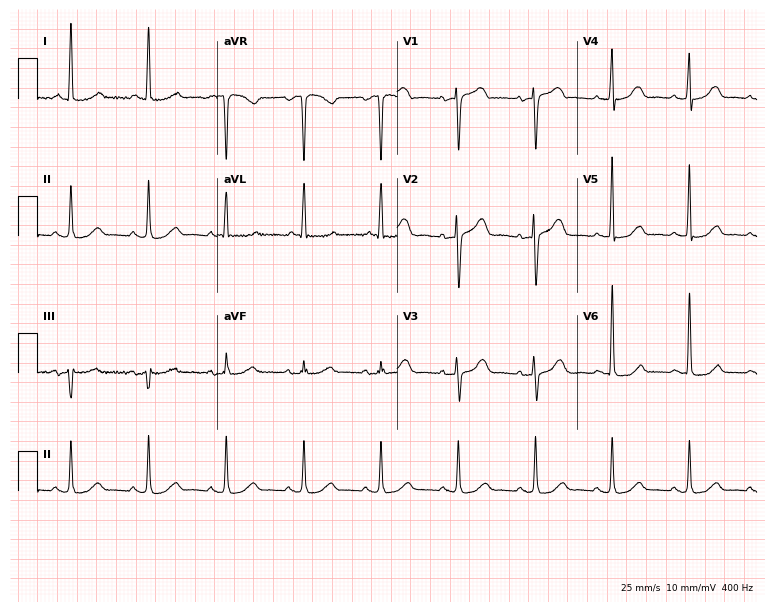
Standard 12-lead ECG recorded from a female, 74 years old (7.3-second recording at 400 Hz). Read as a normal ECG.